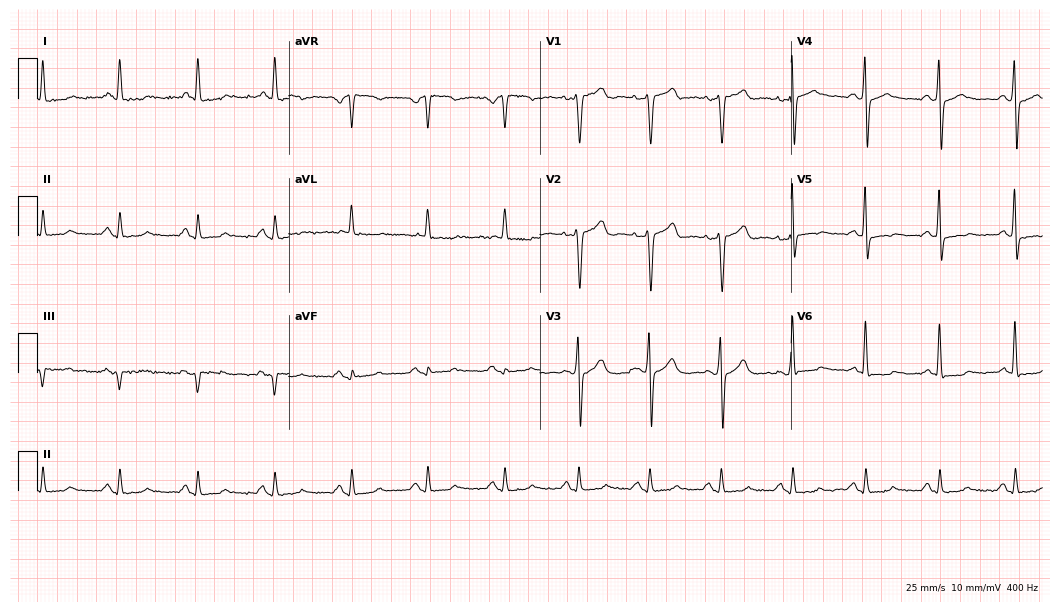
Standard 12-lead ECG recorded from a 52-year-old man. None of these six findings is recorded: first-degree AV block, right bundle branch block (RBBB), left bundle branch block (LBBB), sinus bradycardia, atrial fibrillation (AF), sinus tachycardia.